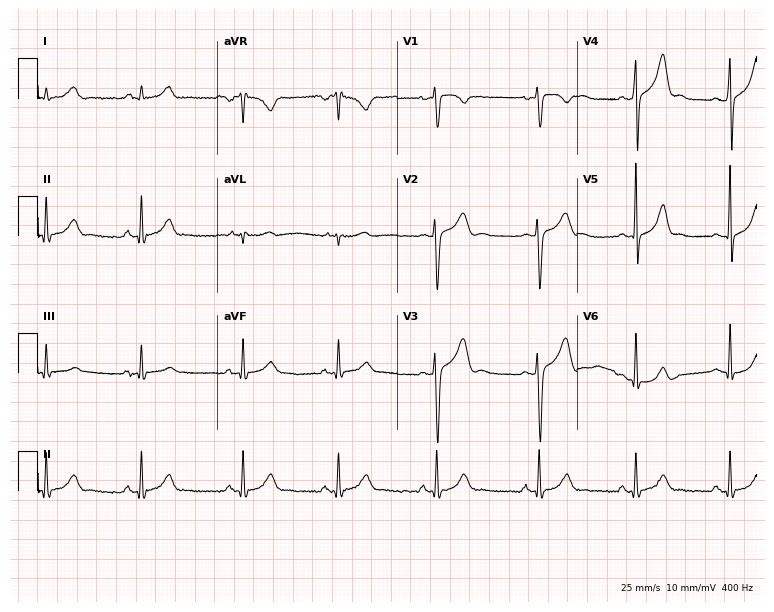
Standard 12-lead ECG recorded from a 23-year-old man. None of these six findings is recorded: first-degree AV block, right bundle branch block (RBBB), left bundle branch block (LBBB), sinus bradycardia, atrial fibrillation (AF), sinus tachycardia.